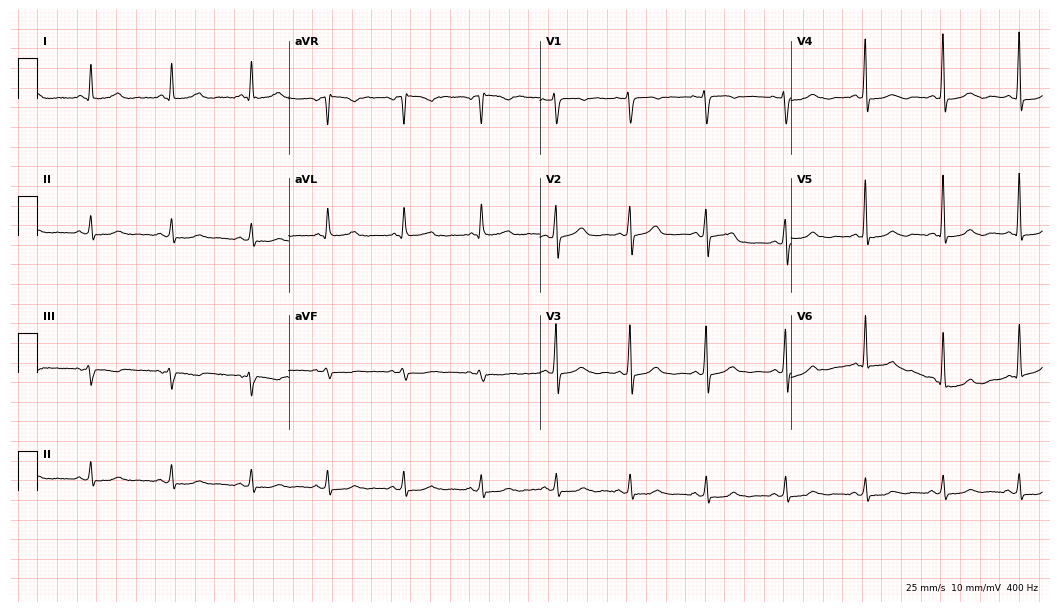
Electrocardiogram (10.2-second recording at 400 Hz), a female patient, 53 years old. Of the six screened findings (first-degree AV block, right bundle branch block, left bundle branch block, sinus bradycardia, atrial fibrillation, sinus tachycardia), none is recorded.